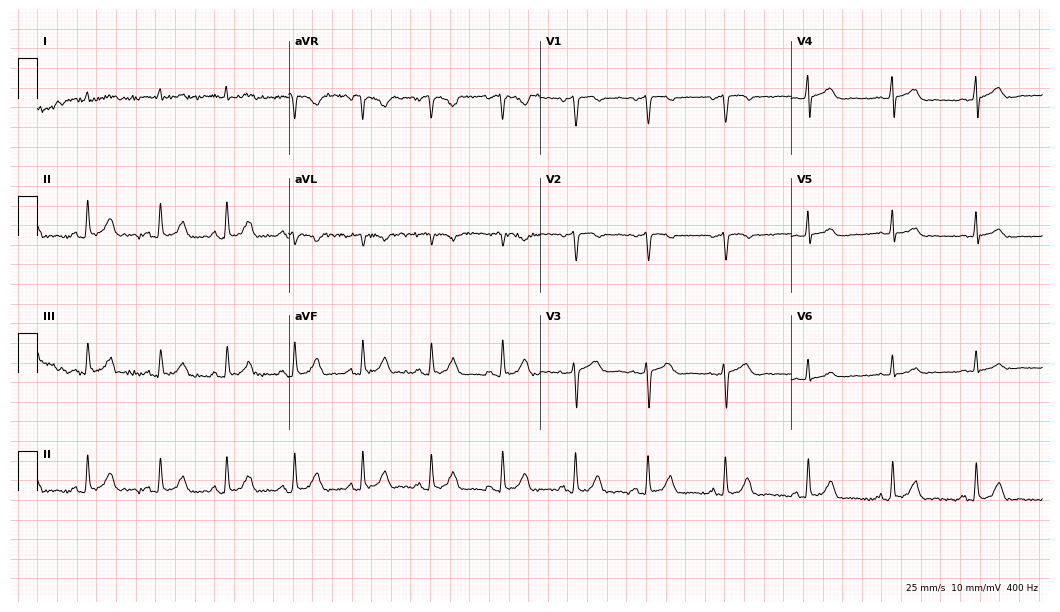
Standard 12-lead ECG recorded from a 53-year-old male. Read as a normal ECG.